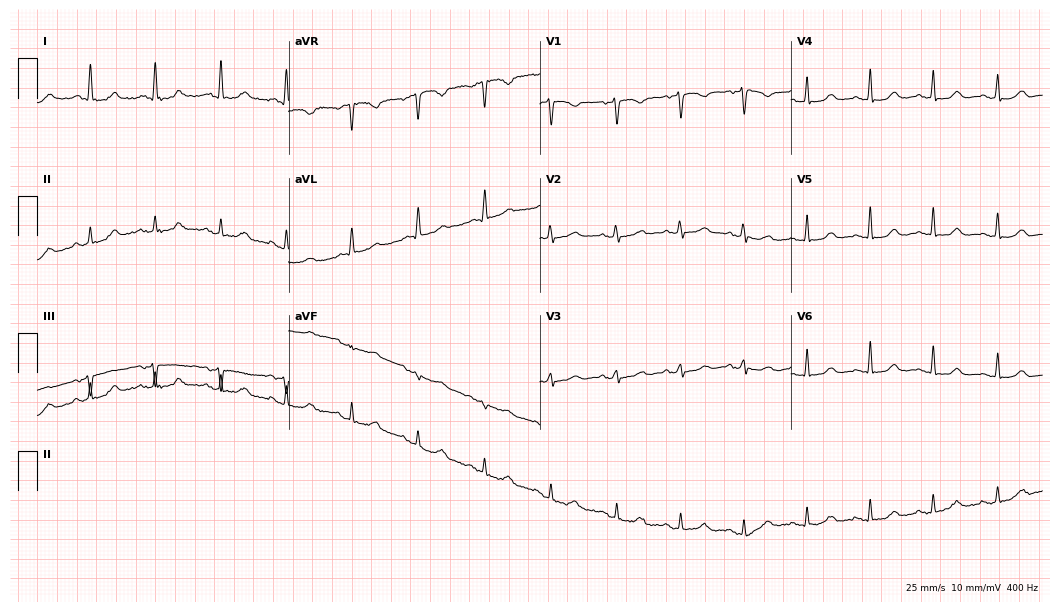
12-lead ECG from a 71-year-old woman. Labelled as a normal ECG.